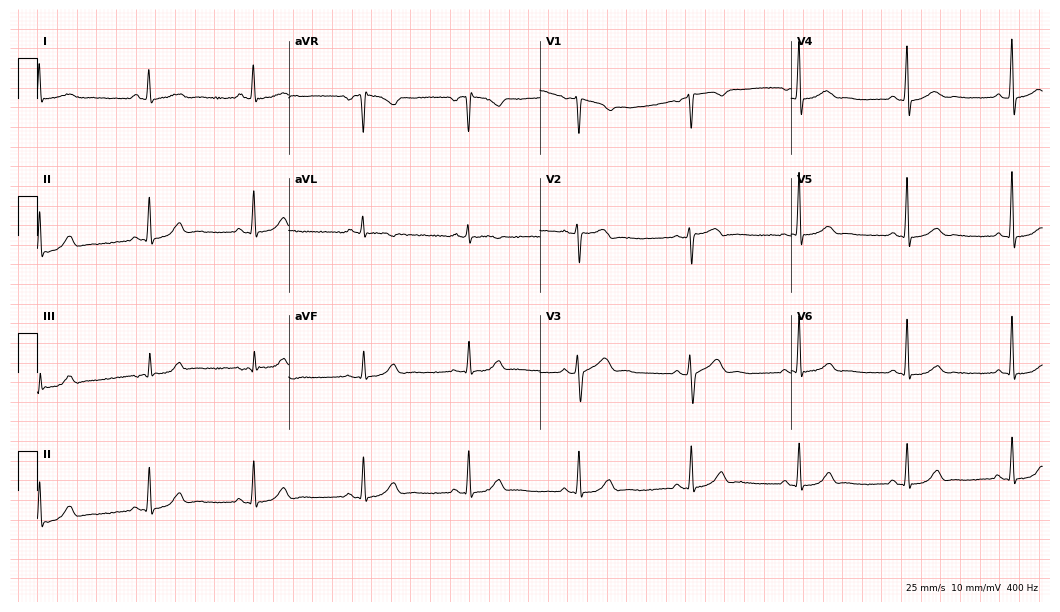
12-lead ECG from a woman, 49 years old. Labelled as a normal ECG.